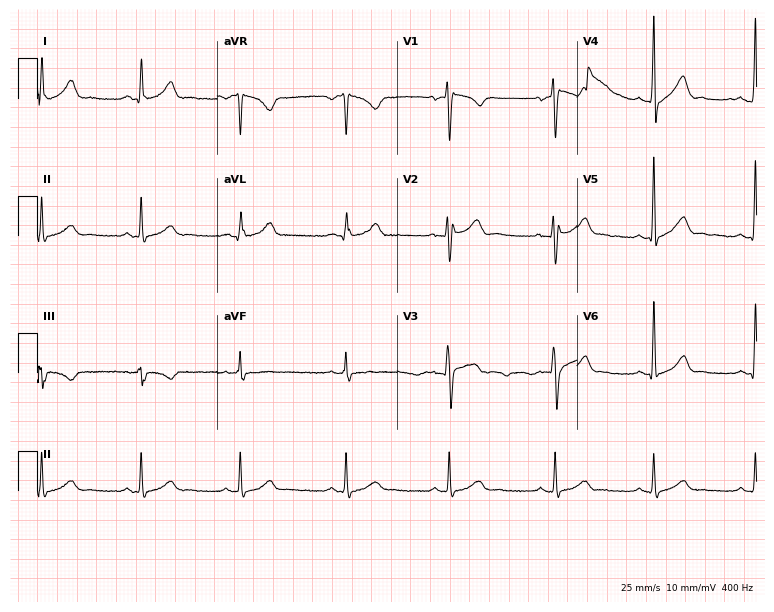
12-lead ECG from a 35-year-old male. Recorded interpretation: within normal limits.